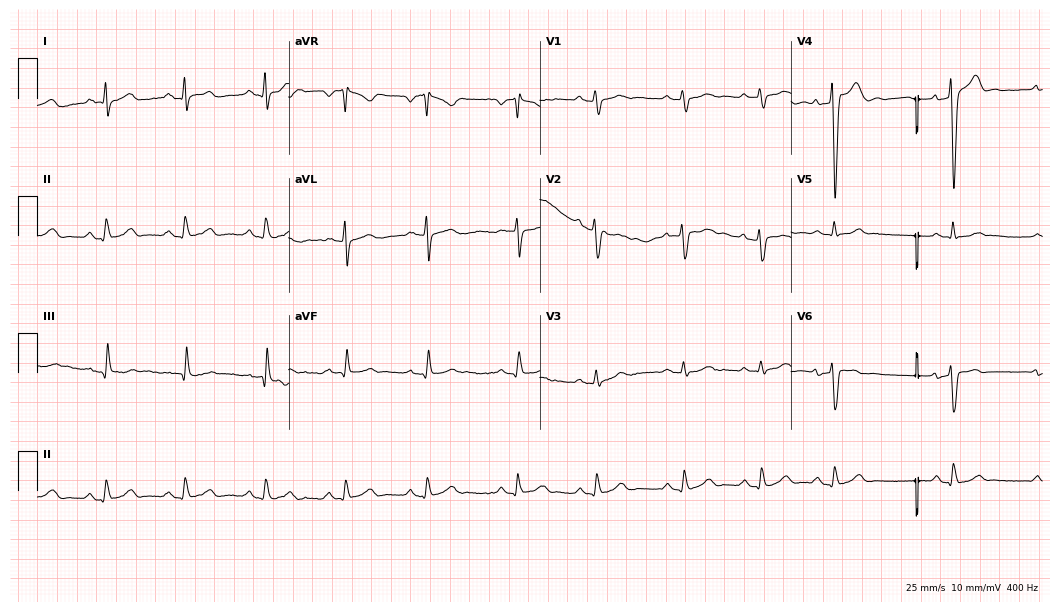
Electrocardiogram, a 27-year-old male. Of the six screened findings (first-degree AV block, right bundle branch block (RBBB), left bundle branch block (LBBB), sinus bradycardia, atrial fibrillation (AF), sinus tachycardia), none is recorded.